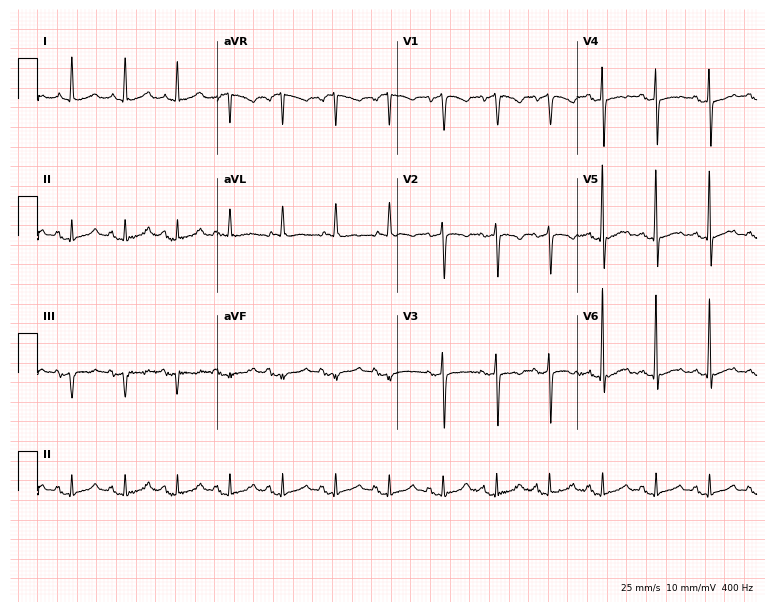
Electrocardiogram (7.3-second recording at 400 Hz), a female patient, 68 years old. Interpretation includes sinus tachycardia (a sinus rate of 100 beats per minute or more).